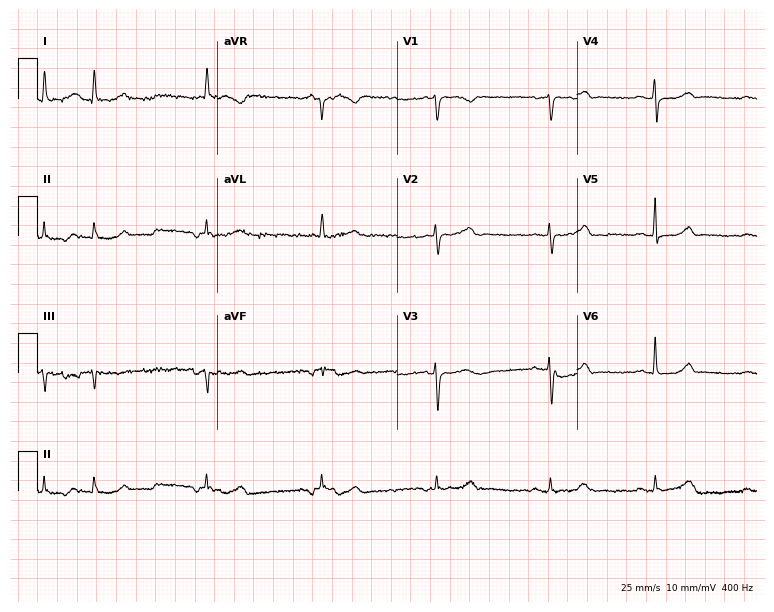
12-lead ECG (7.3-second recording at 400 Hz) from a woman, 77 years old. Screened for six findings — first-degree AV block, right bundle branch block, left bundle branch block, sinus bradycardia, atrial fibrillation, sinus tachycardia — none is recorded. Findings outside these six are not listed.